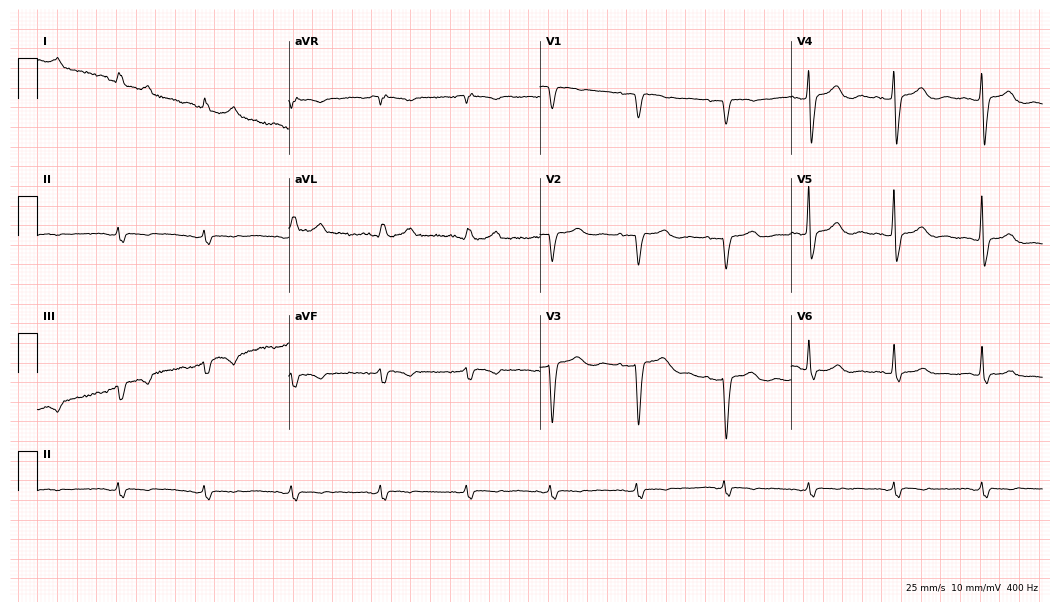
Resting 12-lead electrocardiogram (10.2-second recording at 400 Hz). Patient: a 55-year-old female. None of these six findings is recorded: first-degree AV block, right bundle branch block, left bundle branch block, sinus bradycardia, atrial fibrillation, sinus tachycardia. Other findings, if any, are not listed.